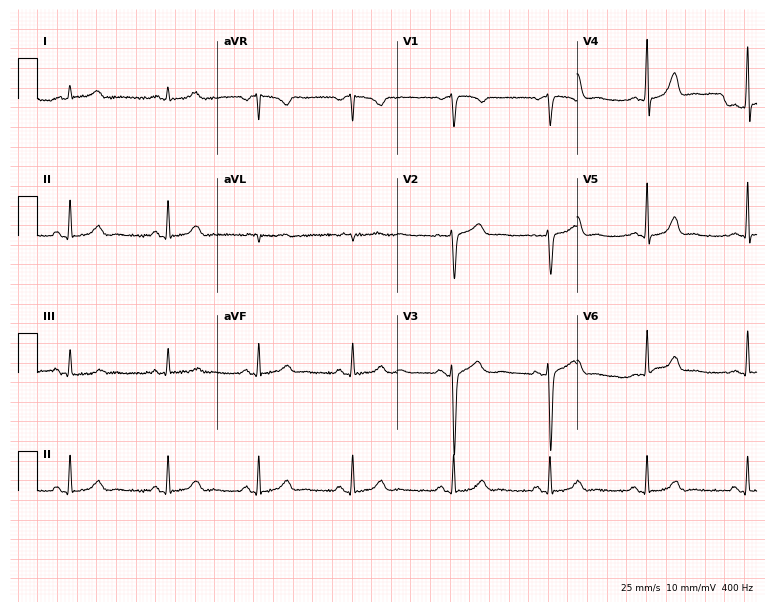
Standard 12-lead ECG recorded from a 30-year-old female (7.3-second recording at 400 Hz). Read as a normal ECG.